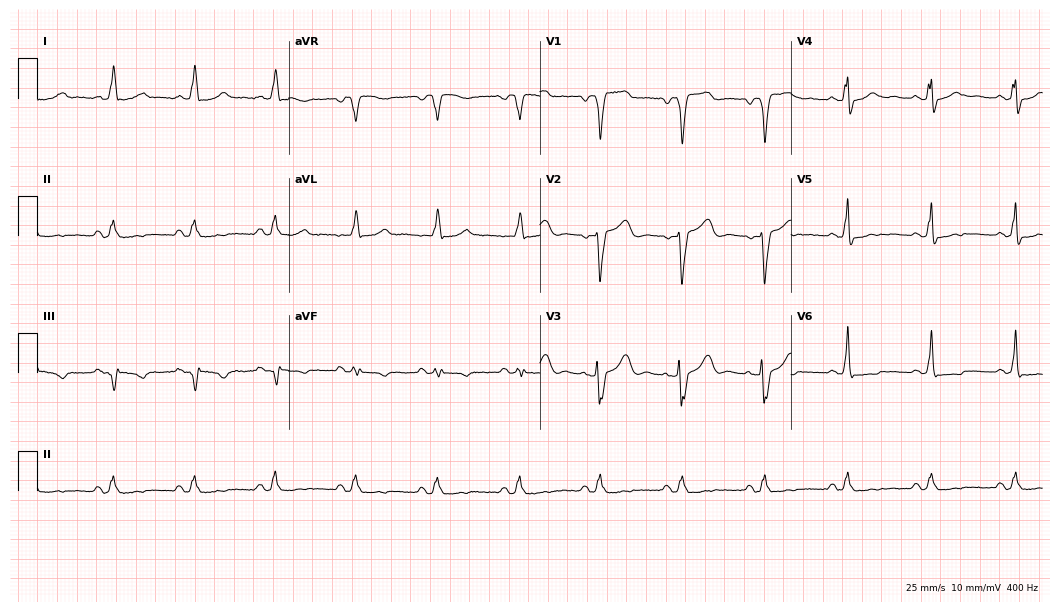
ECG — a 63-year-old female. Findings include left bundle branch block.